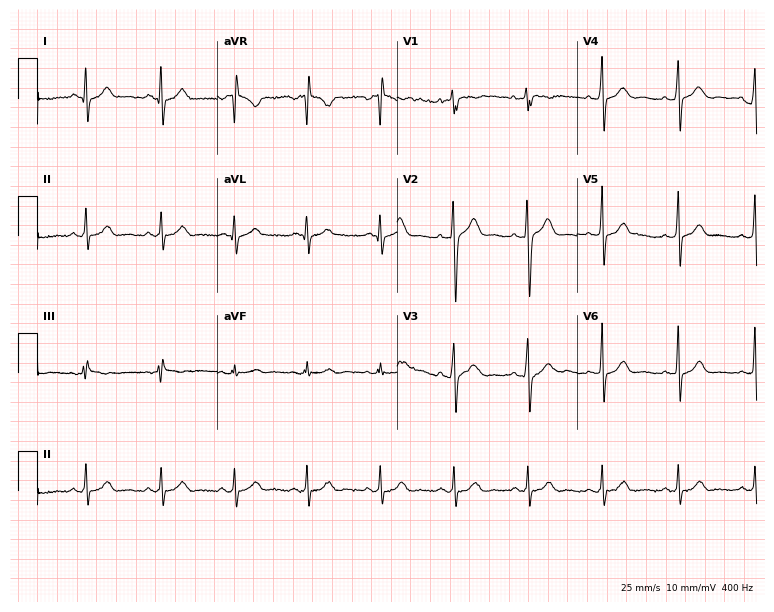
Standard 12-lead ECG recorded from a male patient, 26 years old. None of these six findings is recorded: first-degree AV block, right bundle branch block, left bundle branch block, sinus bradycardia, atrial fibrillation, sinus tachycardia.